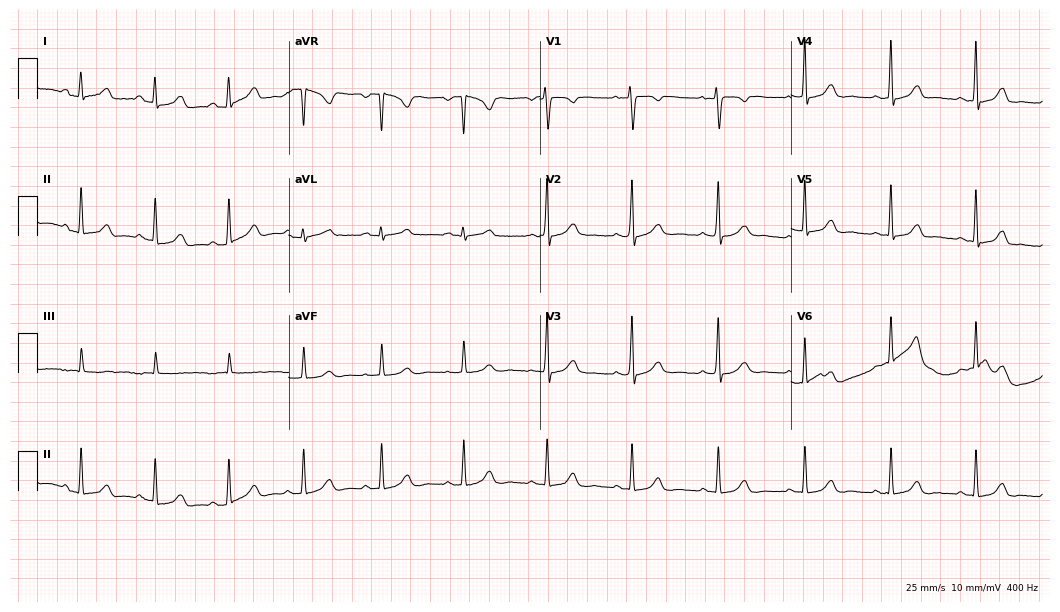
Resting 12-lead electrocardiogram. Patient: a woman, 36 years old. Read as a normal ECG.